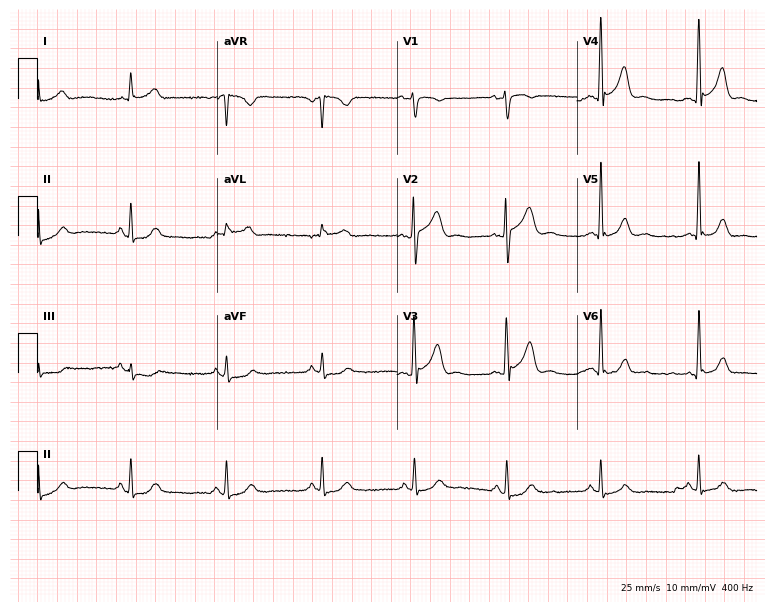
ECG (7.3-second recording at 400 Hz) — a male patient, 45 years old. Labelled as a normal ECG.